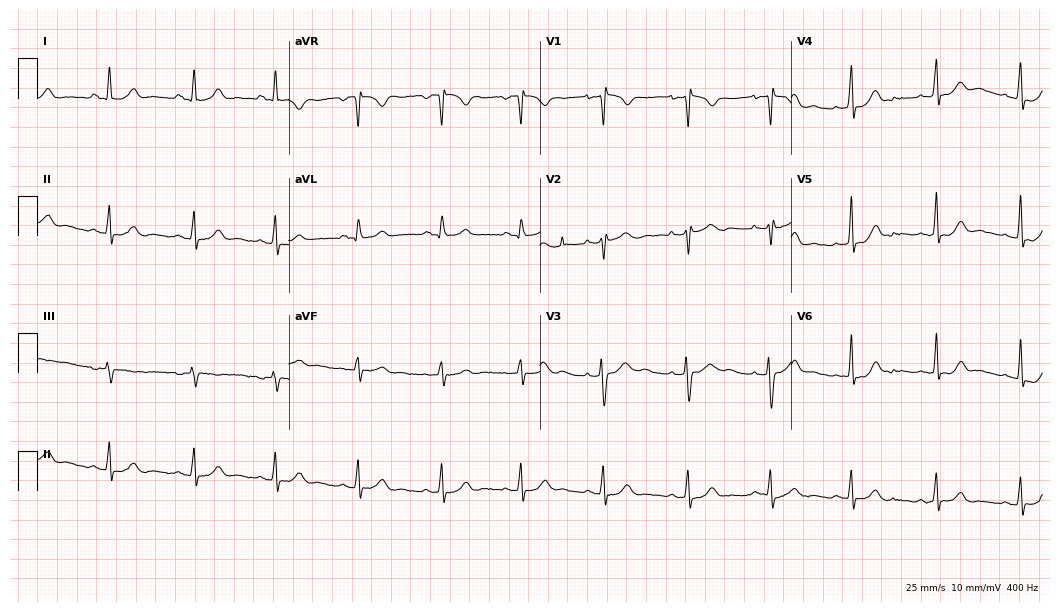
Electrocardiogram (10.2-second recording at 400 Hz), a 20-year-old female patient. Overall reading on record: normal ECG.